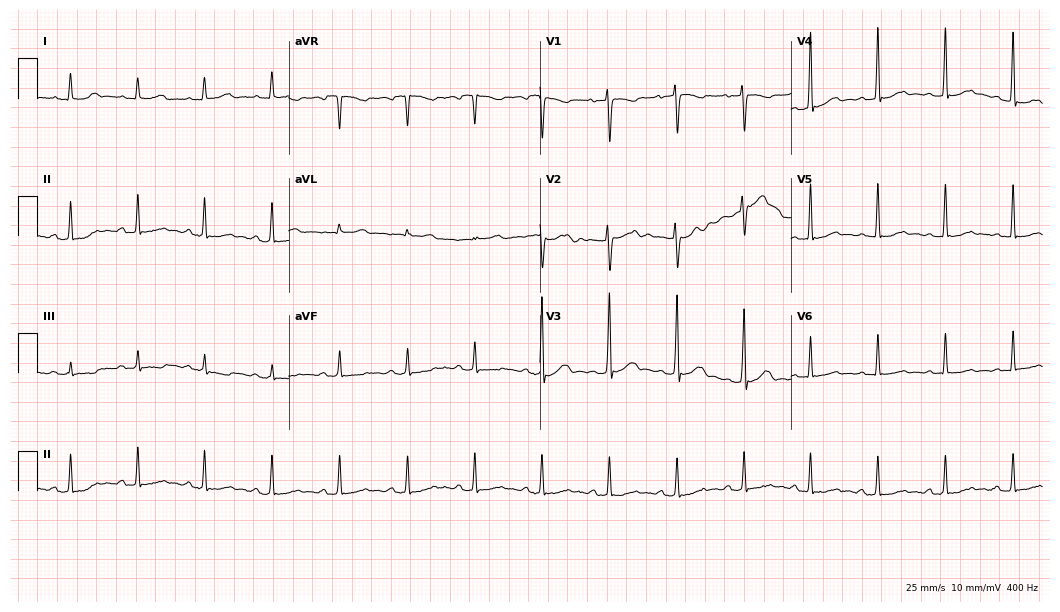
12-lead ECG (10.2-second recording at 400 Hz) from a female patient, 30 years old. Labelled as a normal ECG.